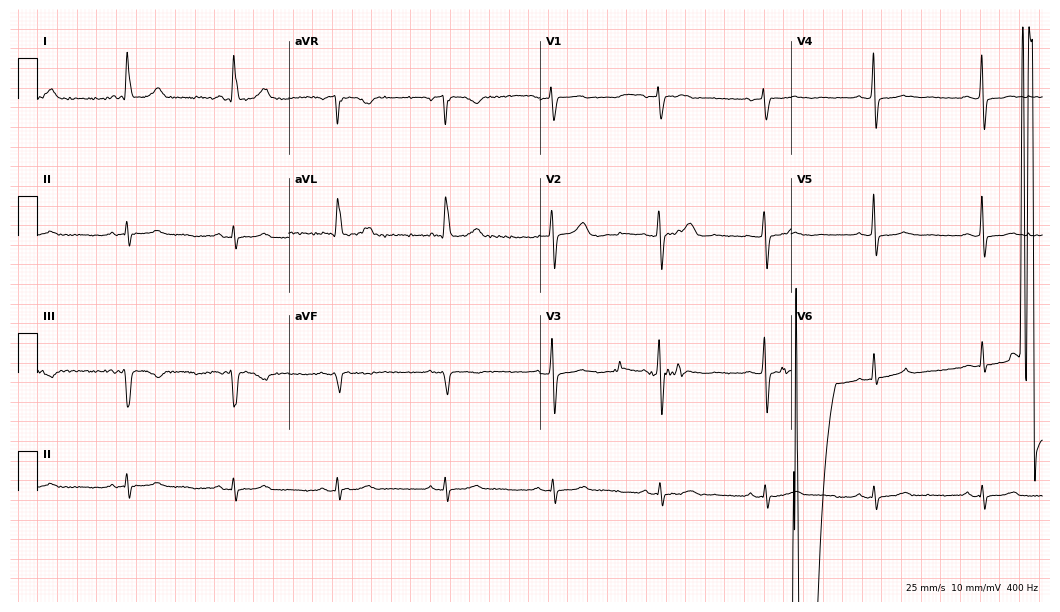
Standard 12-lead ECG recorded from a woman, 78 years old. None of these six findings is recorded: first-degree AV block, right bundle branch block, left bundle branch block, sinus bradycardia, atrial fibrillation, sinus tachycardia. Only these six findings were labelled.